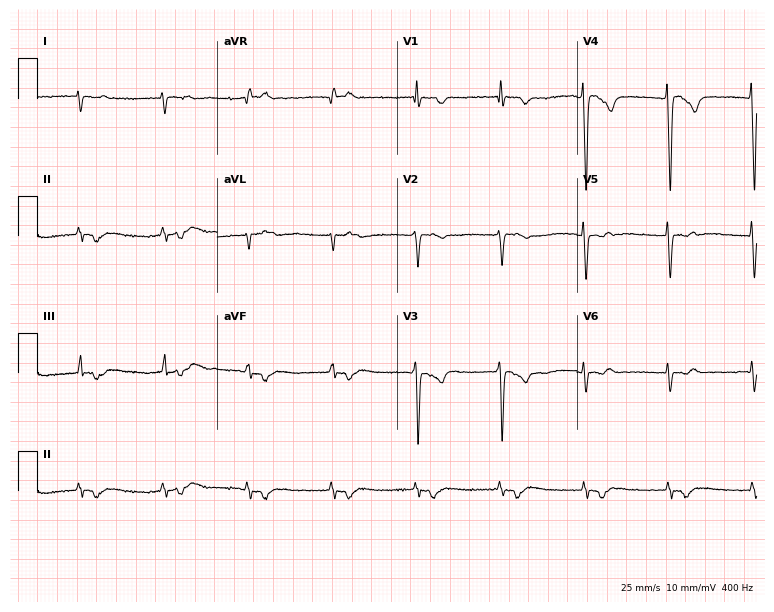
12-lead ECG from a 79-year-old man. No first-degree AV block, right bundle branch block (RBBB), left bundle branch block (LBBB), sinus bradycardia, atrial fibrillation (AF) or sinus tachycardia recorded for this tracing. Findings outside these six are not listed.